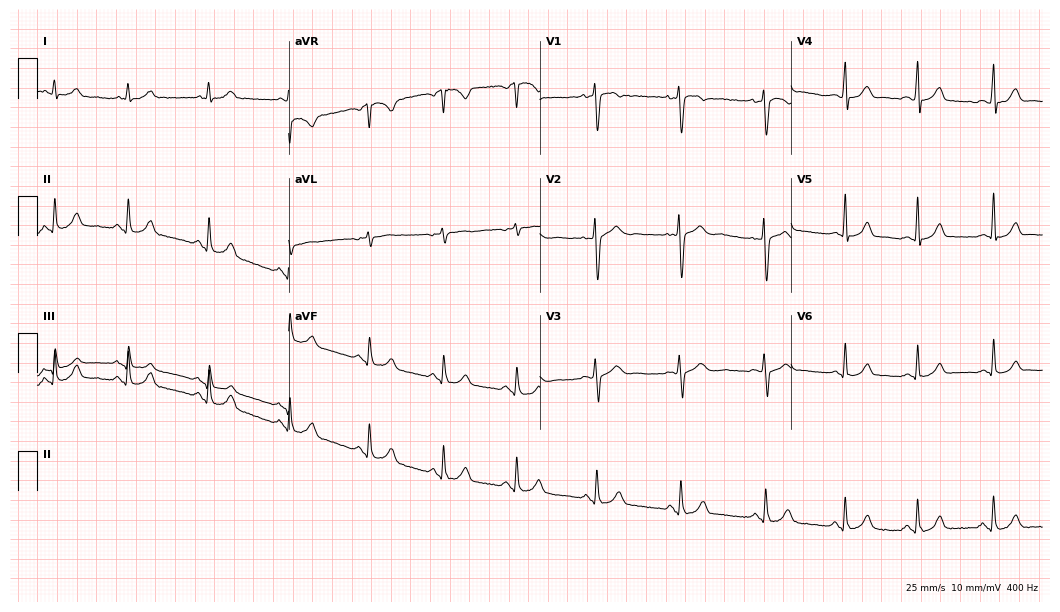
ECG — a woman, 26 years old. Screened for six findings — first-degree AV block, right bundle branch block, left bundle branch block, sinus bradycardia, atrial fibrillation, sinus tachycardia — none is recorded. Findings outside these six are not listed.